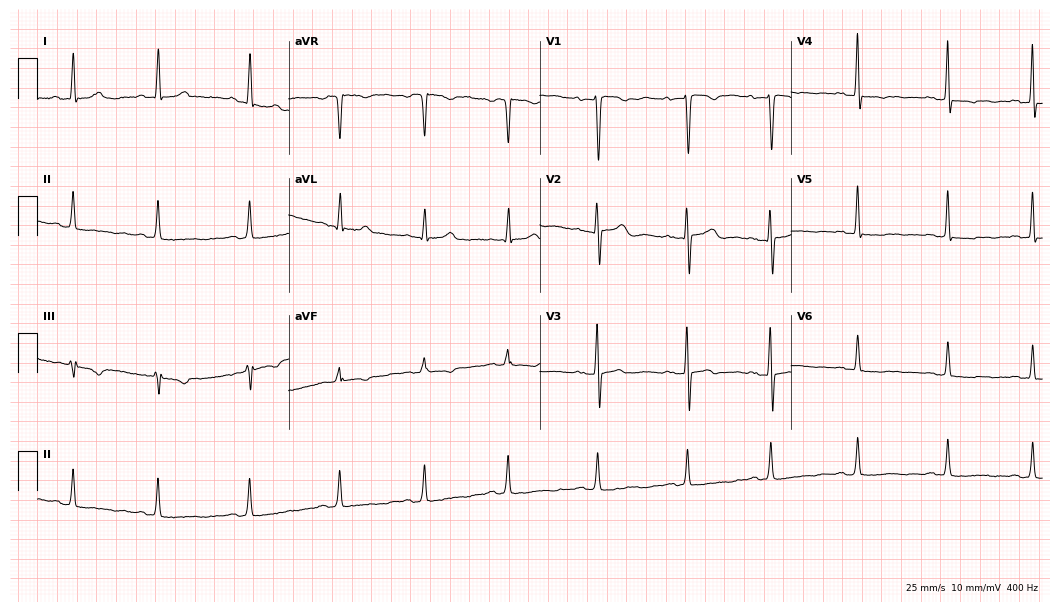
Standard 12-lead ECG recorded from a 33-year-old man. None of these six findings is recorded: first-degree AV block, right bundle branch block (RBBB), left bundle branch block (LBBB), sinus bradycardia, atrial fibrillation (AF), sinus tachycardia. Other findings, if any, are not listed.